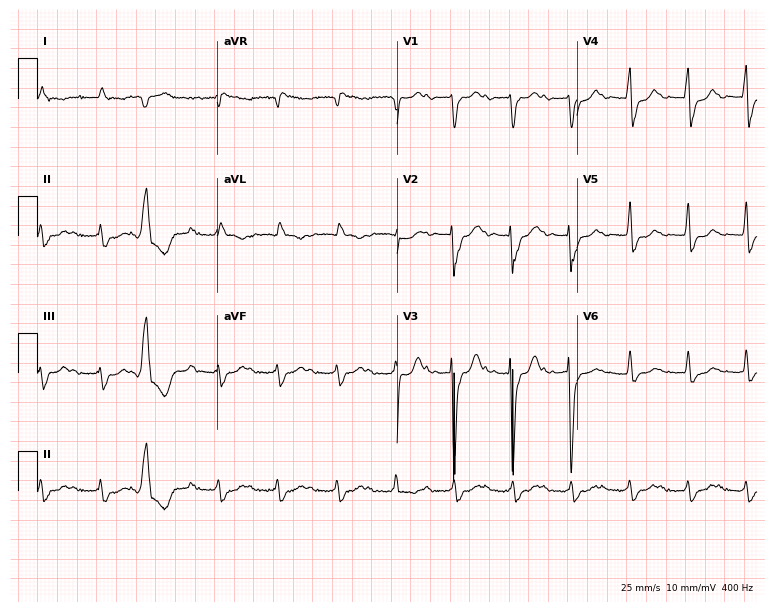
Resting 12-lead electrocardiogram. Patient: an 84-year-old male. None of these six findings is recorded: first-degree AV block, right bundle branch block (RBBB), left bundle branch block (LBBB), sinus bradycardia, atrial fibrillation (AF), sinus tachycardia. Findings outside these six are not listed.